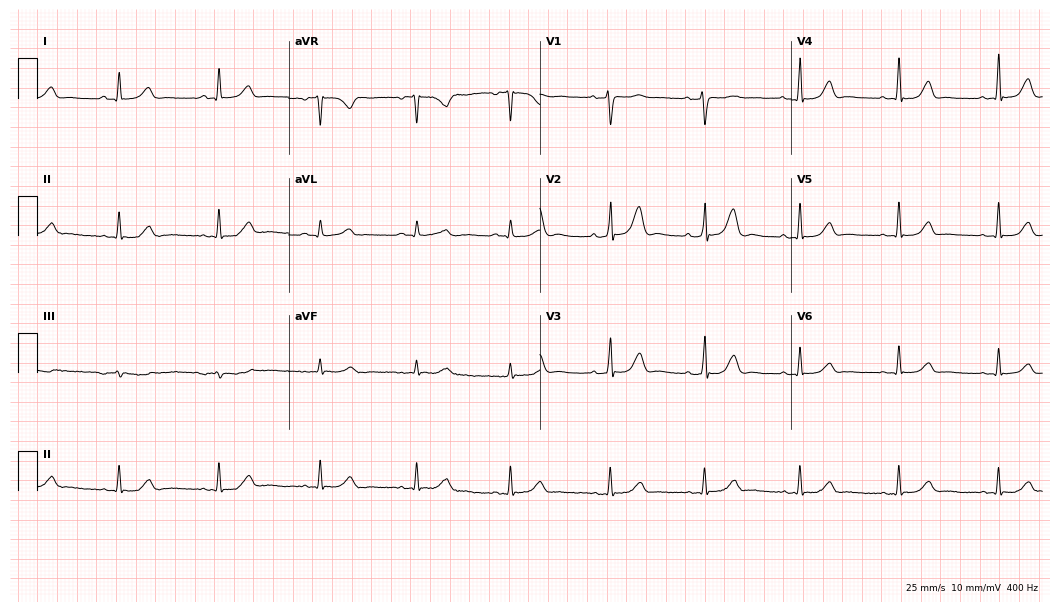
Electrocardiogram, a 42-year-old female. Overall reading on record: normal ECG.